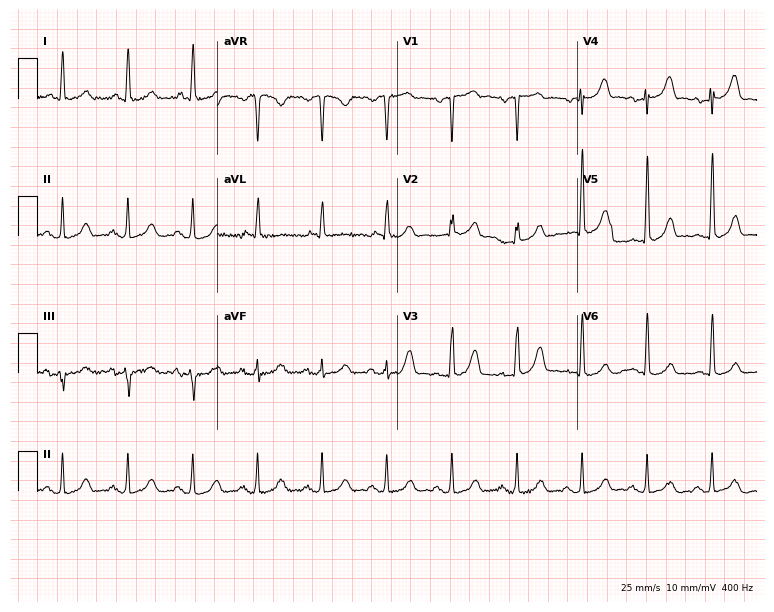
ECG (7.3-second recording at 400 Hz) — a female patient, 76 years old. Screened for six findings — first-degree AV block, right bundle branch block, left bundle branch block, sinus bradycardia, atrial fibrillation, sinus tachycardia — none is recorded.